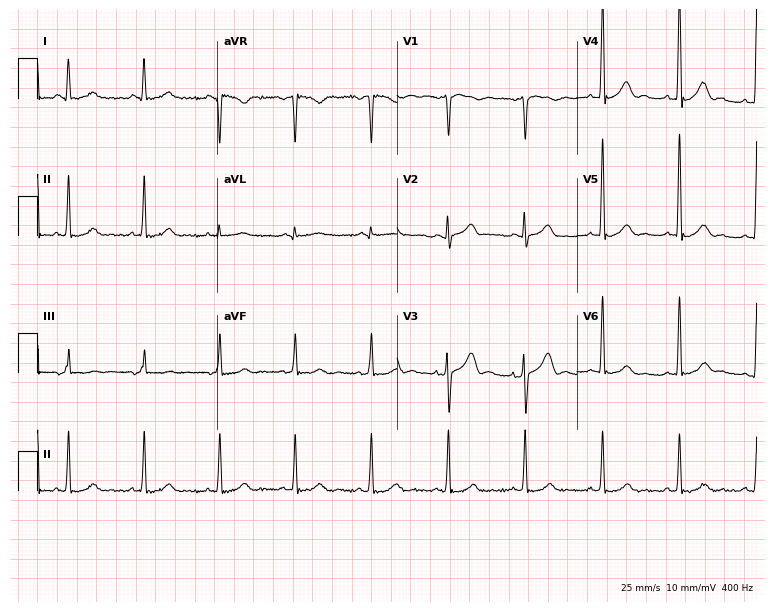
Standard 12-lead ECG recorded from a male, 65 years old (7.3-second recording at 400 Hz). None of these six findings is recorded: first-degree AV block, right bundle branch block, left bundle branch block, sinus bradycardia, atrial fibrillation, sinus tachycardia. Other findings, if any, are not listed.